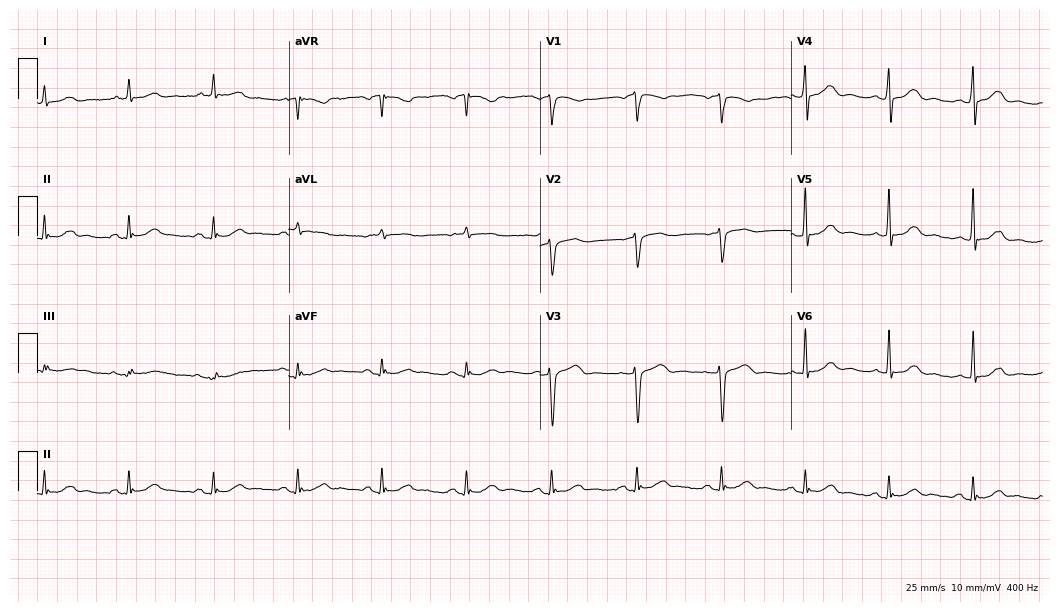
12-lead ECG (10.2-second recording at 400 Hz) from a male, 77 years old. Labelled as a normal ECG.